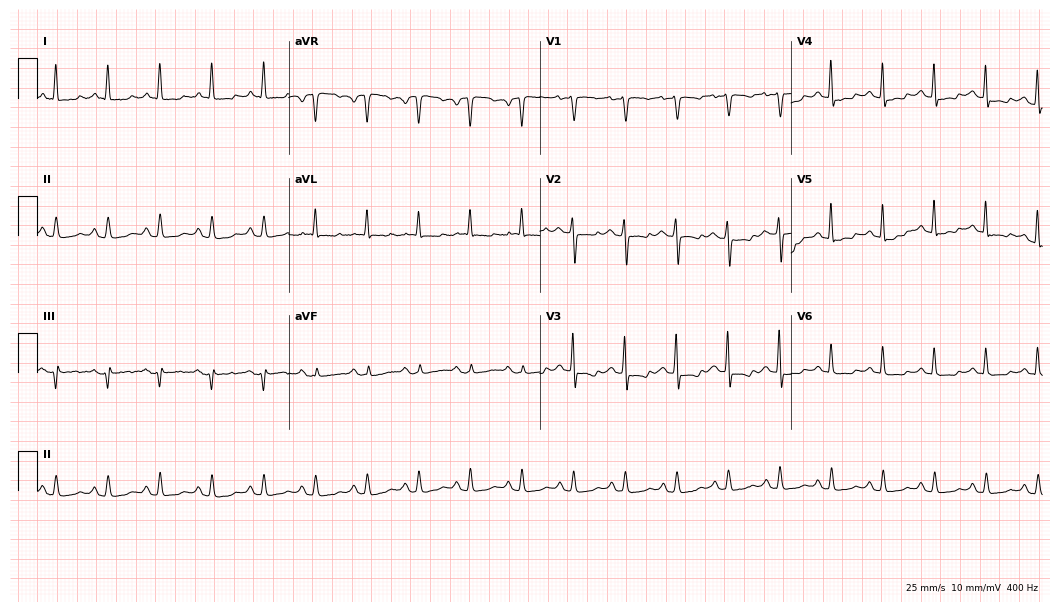
Electrocardiogram, a woman, 85 years old. Interpretation includes sinus tachycardia (a sinus rate of 100 beats per minute or more).